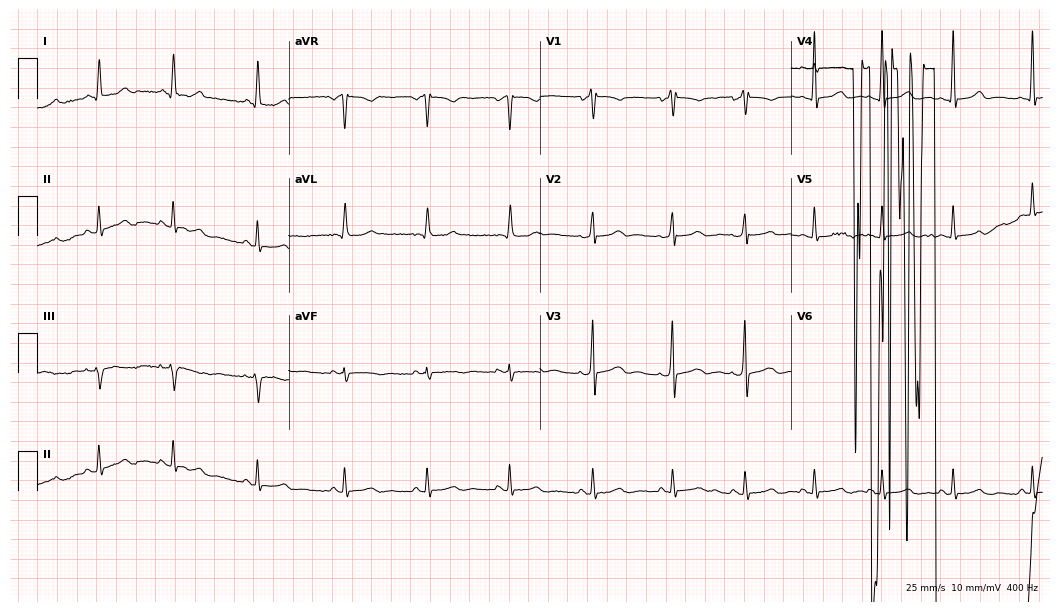
12-lead ECG from a female, 32 years old. No first-degree AV block, right bundle branch block (RBBB), left bundle branch block (LBBB), sinus bradycardia, atrial fibrillation (AF) or sinus tachycardia recorded for this tracing.